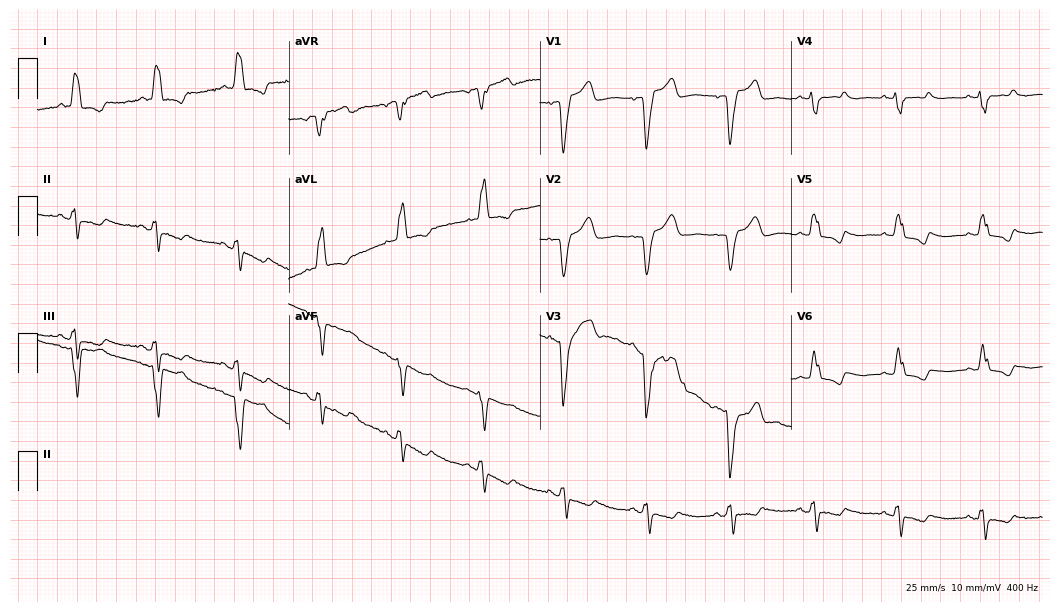
ECG — a female, 69 years old. Findings include left bundle branch block (LBBB).